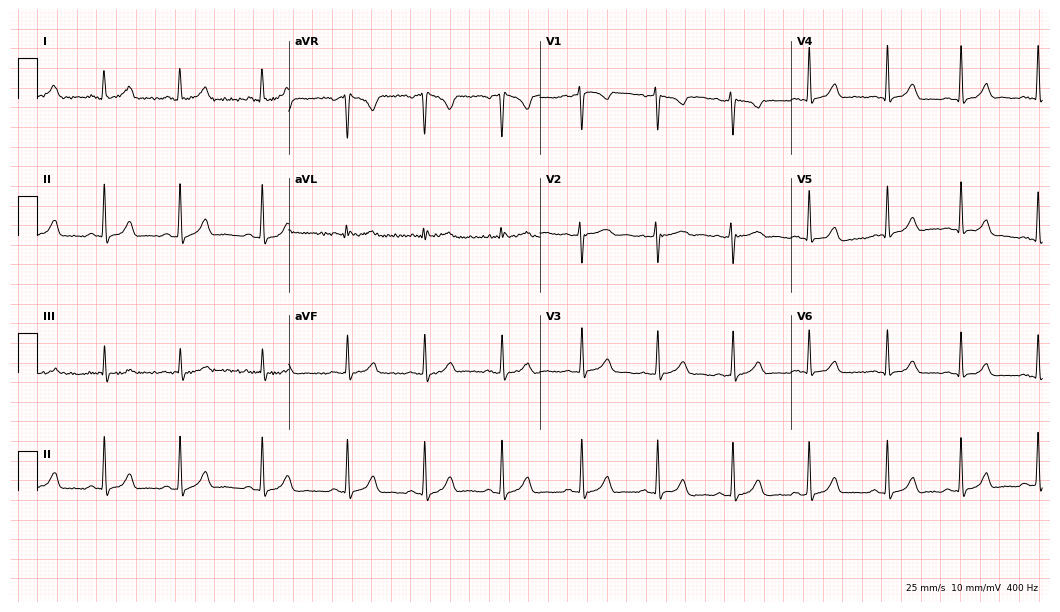
Electrocardiogram, a female, 22 years old. Overall reading on record: normal ECG.